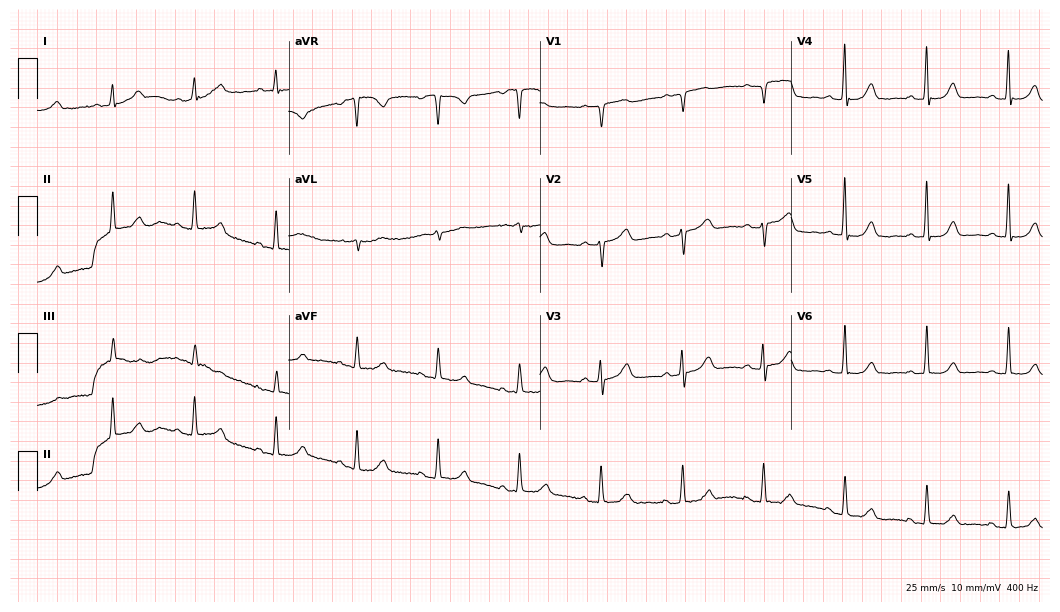
12-lead ECG (10.2-second recording at 400 Hz) from a woman, 80 years old. Labelled as a normal ECG.